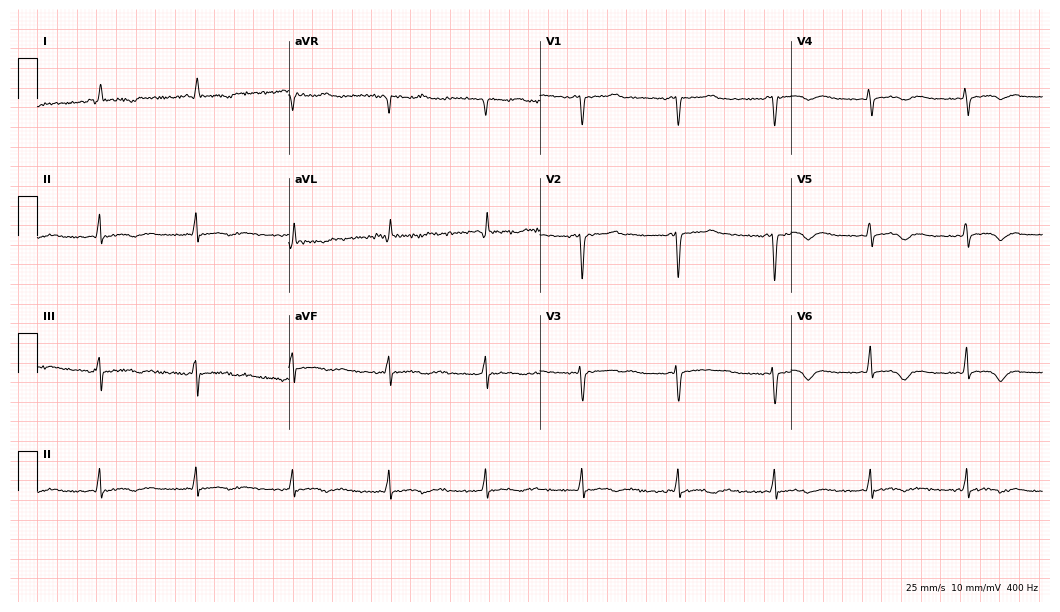
12-lead ECG from a woman, 52 years old (10.2-second recording at 400 Hz). No first-degree AV block, right bundle branch block (RBBB), left bundle branch block (LBBB), sinus bradycardia, atrial fibrillation (AF) or sinus tachycardia recorded for this tracing.